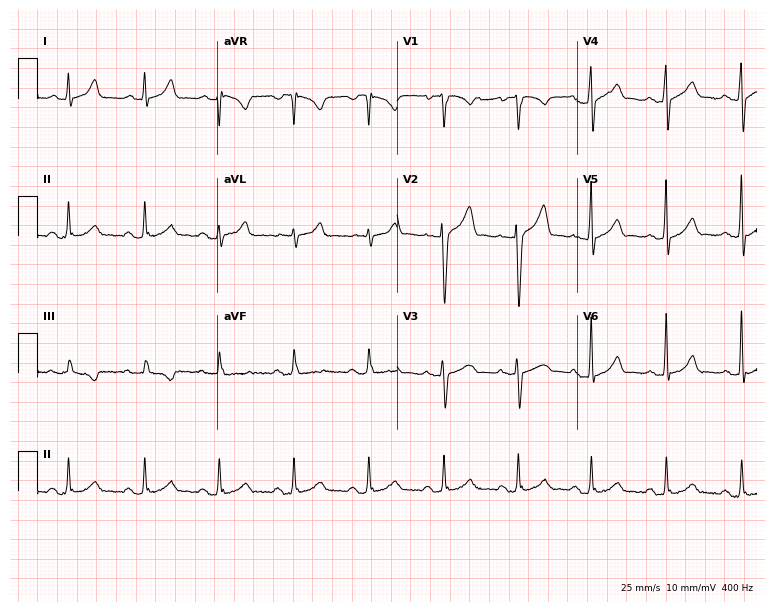
Electrocardiogram, a male patient, 49 years old. Overall reading on record: normal ECG.